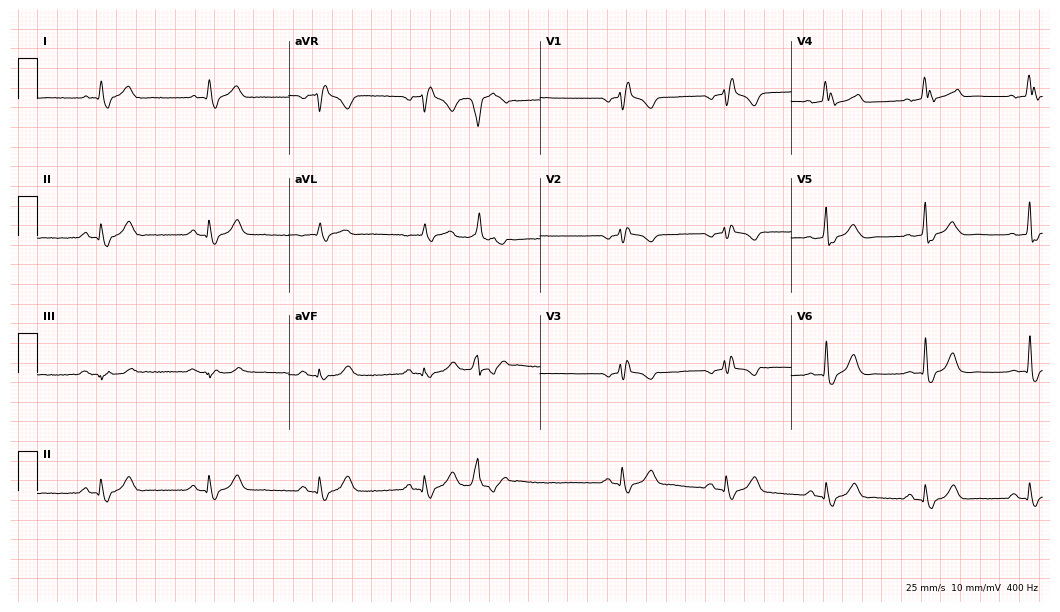
Standard 12-lead ECG recorded from an 81-year-old male (10.2-second recording at 400 Hz). The tracing shows right bundle branch block (RBBB).